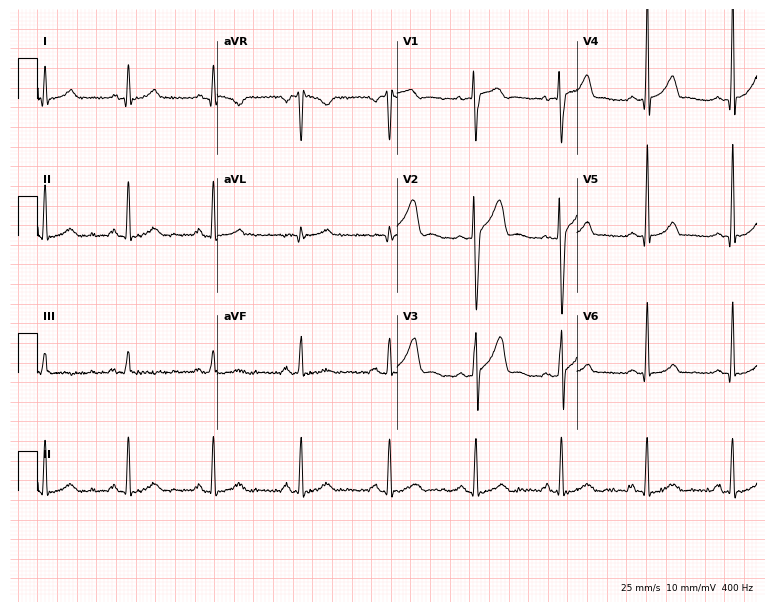
12-lead ECG from a 29-year-old man (7.3-second recording at 400 Hz). Recorded interpretation: within normal limits.